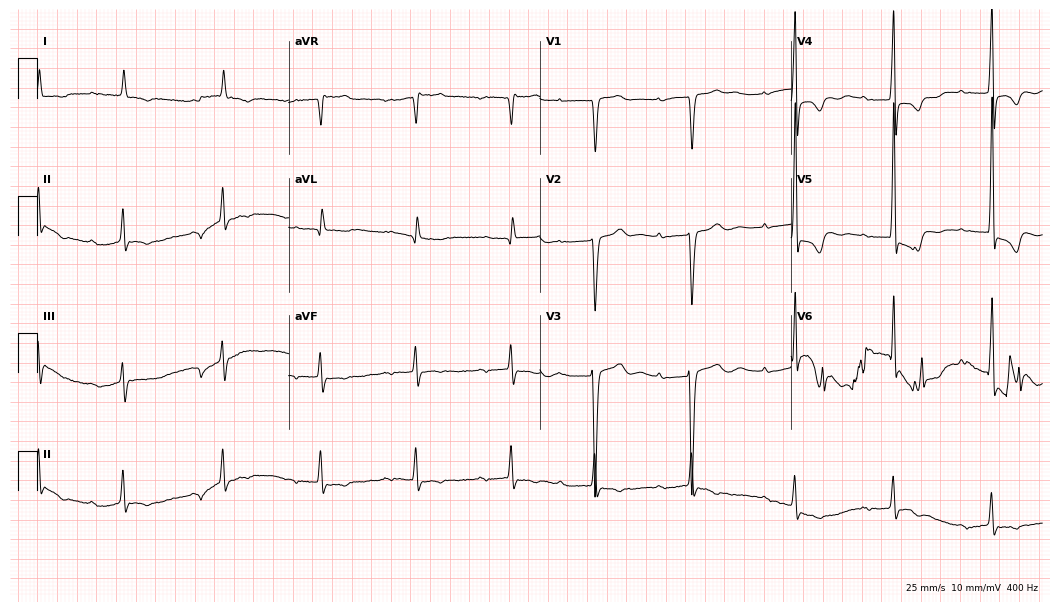
Resting 12-lead electrocardiogram. Patient: a female, 84 years old. The tracing shows atrial fibrillation (AF).